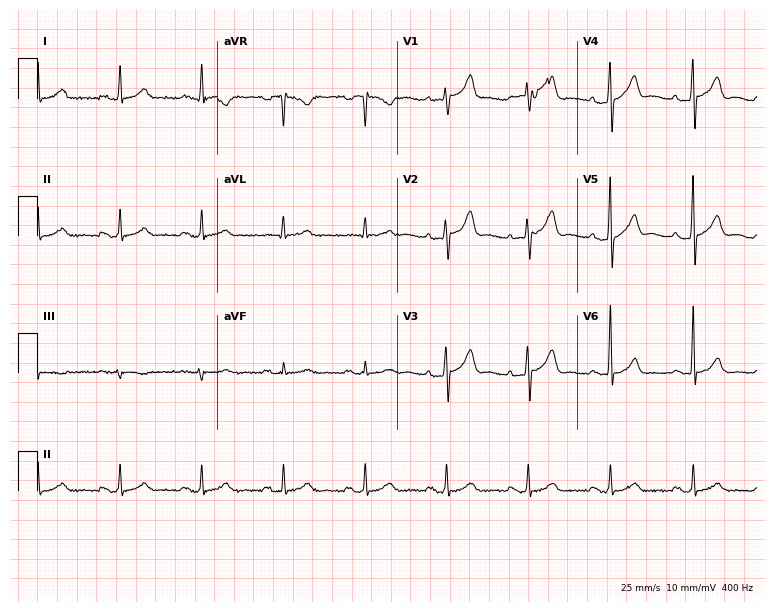
12-lead ECG from a male, 60 years old. Screened for six findings — first-degree AV block, right bundle branch block, left bundle branch block, sinus bradycardia, atrial fibrillation, sinus tachycardia — none is recorded.